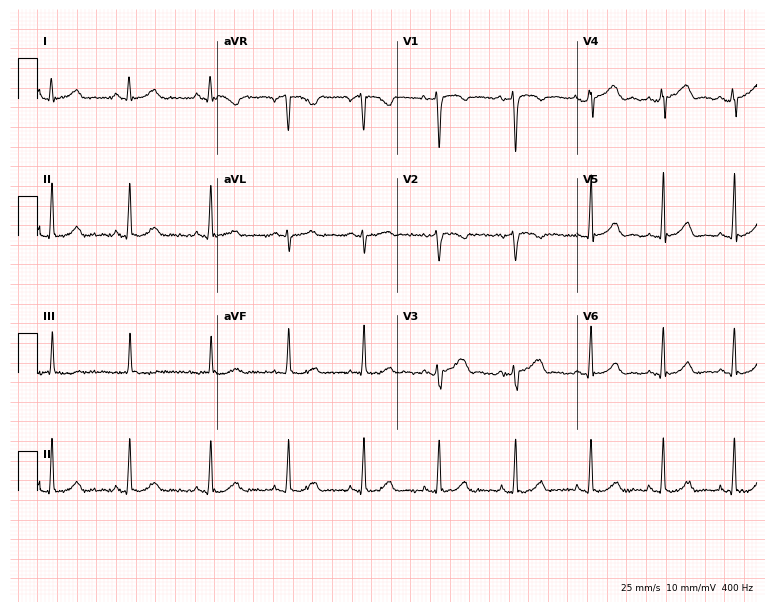
Electrocardiogram (7.3-second recording at 400 Hz), a female patient, 25 years old. Overall reading on record: normal ECG.